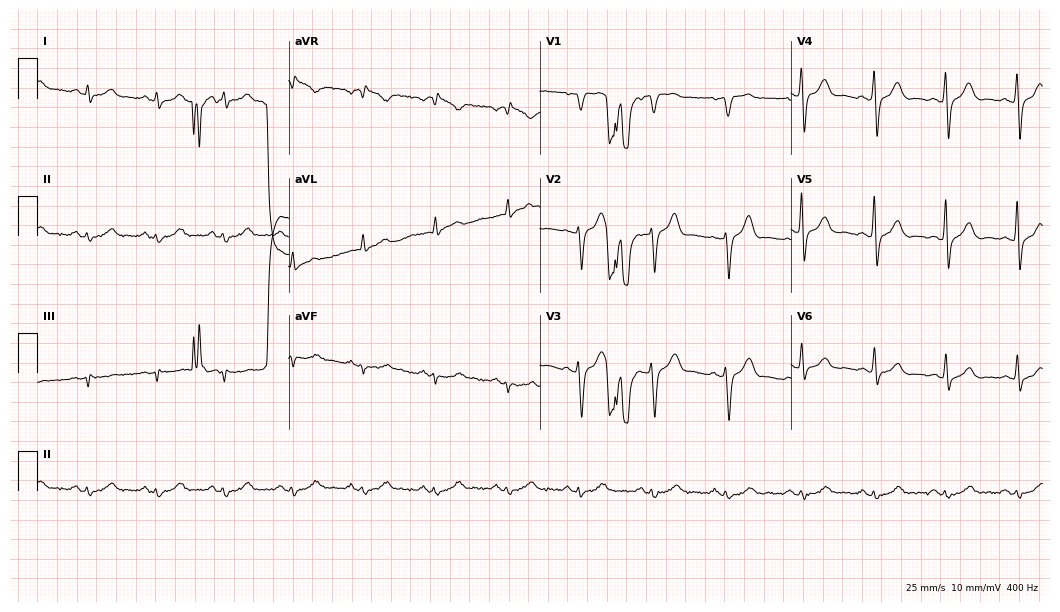
ECG (10.2-second recording at 400 Hz) — a man, 52 years old. Labelled as a normal ECG.